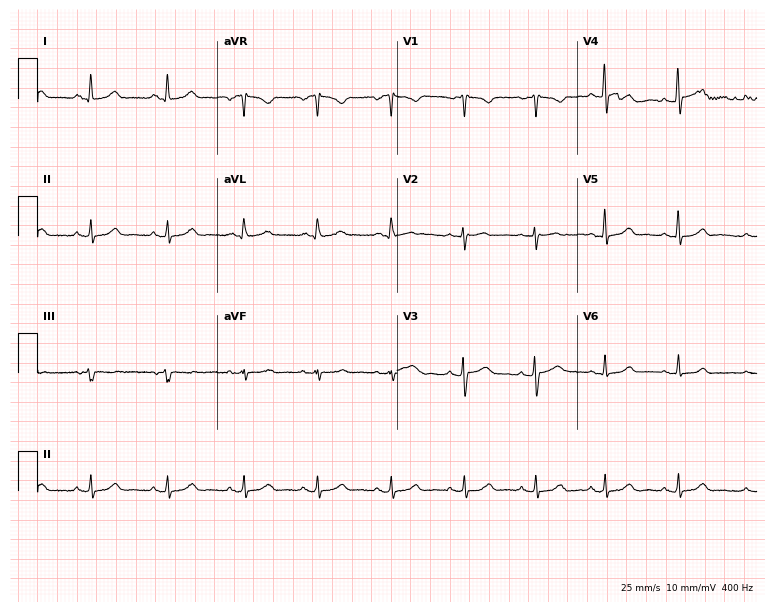
12-lead ECG from a female patient, 26 years old. Recorded interpretation: within normal limits.